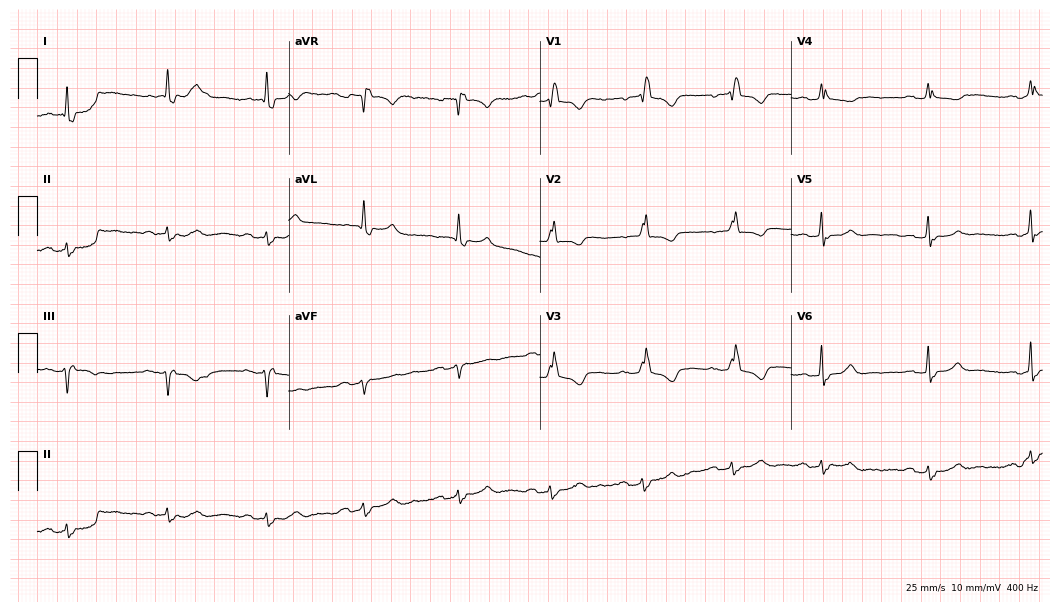
12-lead ECG (10.2-second recording at 400 Hz) from a 79-year-old woman. Findings include right bundle branch block.